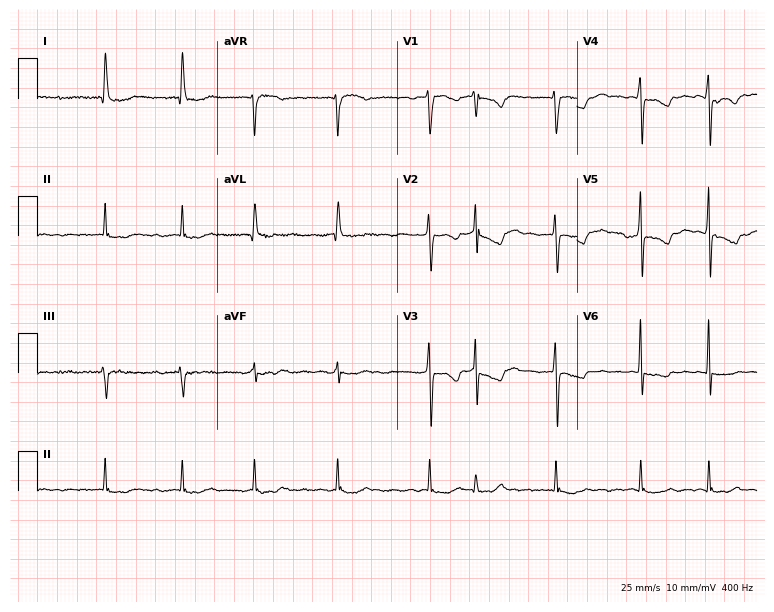
12-lead ECG from a woman, 68 years old. Shows atrial fibrillation (AF).